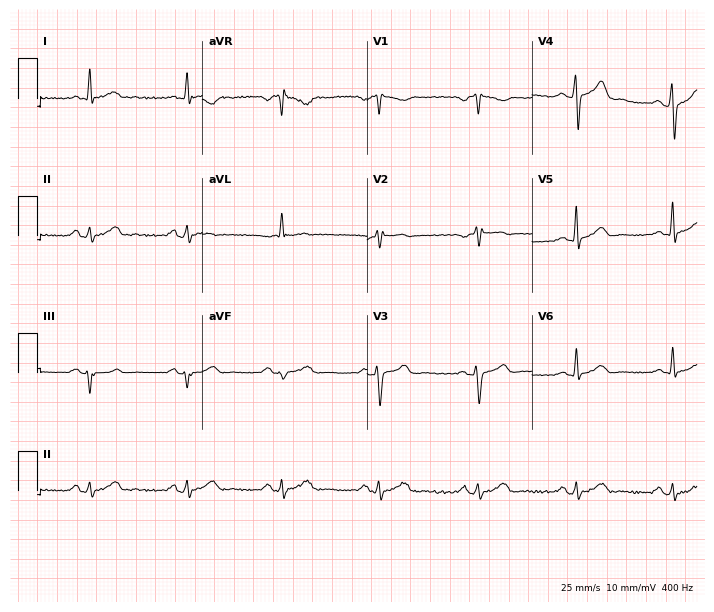
Electrocardiogram (6.7-second recording at 400 Hz), a 63-year-old man. Of the six screened findings (first-degree AV block, right bundle branch block, left bundle branch block, sinus bradycardia, atrial fibrillation, sinus tachycardia), none is recorded.